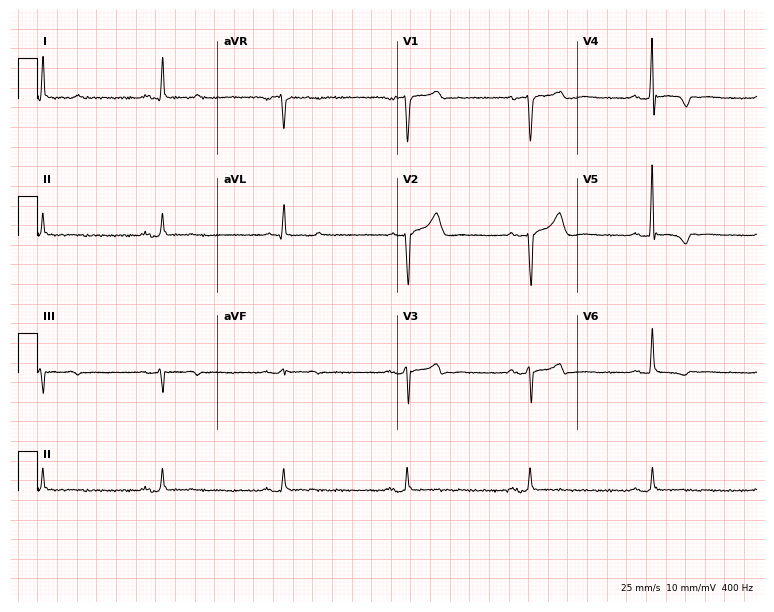
Standard 12-lead ECG recorded from a 58-year-old male patient. None of these six findings is recorded: first-degree AV block, right bundle branch block (RBBB), left bundle branch block (LBBB), sinus bradycardia, atrial fibrillation (AF), sinus tachycardia. Only these six findings were labelled.